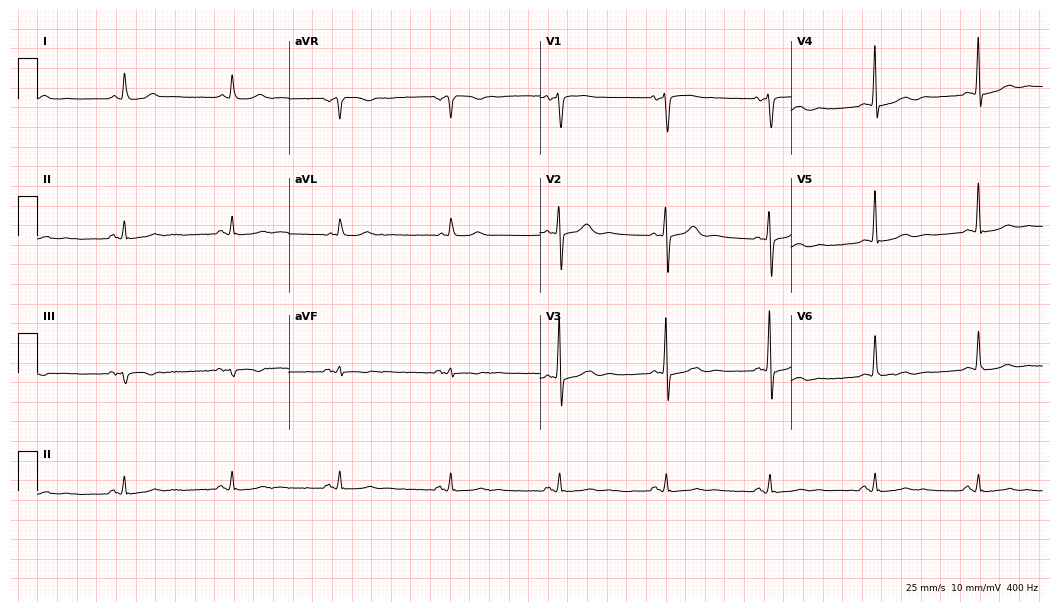
Standard 12-lead ECG recorded from a man, 70 years old (10.2-second recording at 400 Hz). None of these six findings is recorded: first-degree AV block, right bundle branch block (RBBB), left bundle branch block (LBBB), sinus bradycardia, atrial fibrillation (AF), sinus tachycardia. Findings outside these six are not listed.